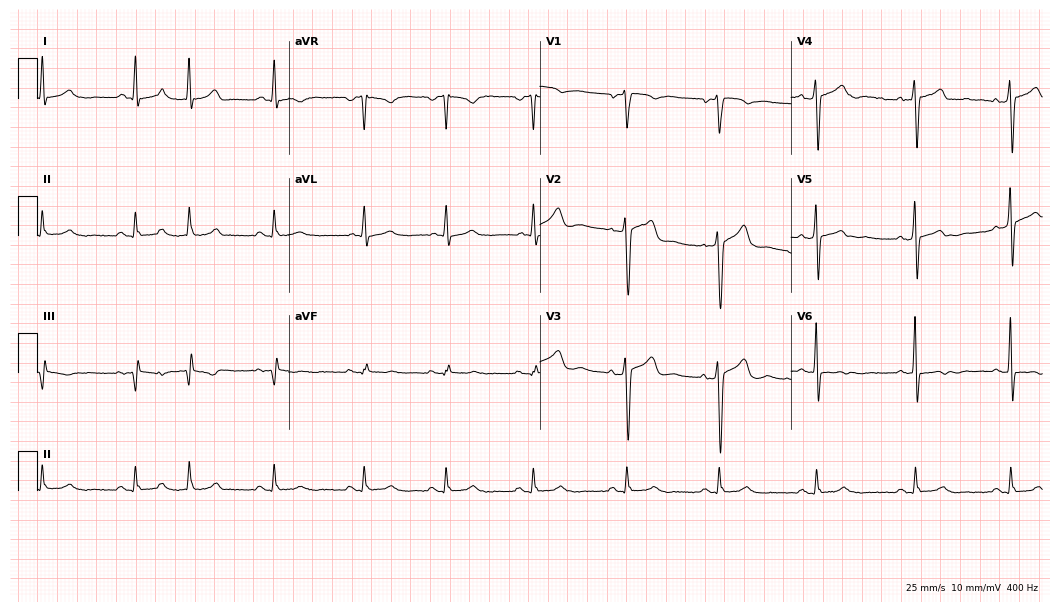
ECG (10.2-second recording at 400 Hz) — a 40-year-old male patient. Screened for six findings — first-degree AV block, right bundle branch block, left bundle branch block, sinus bradycardia, atrial fibrillation, sinus tachycardia — none is recorded. Findings outside these six are not listed.